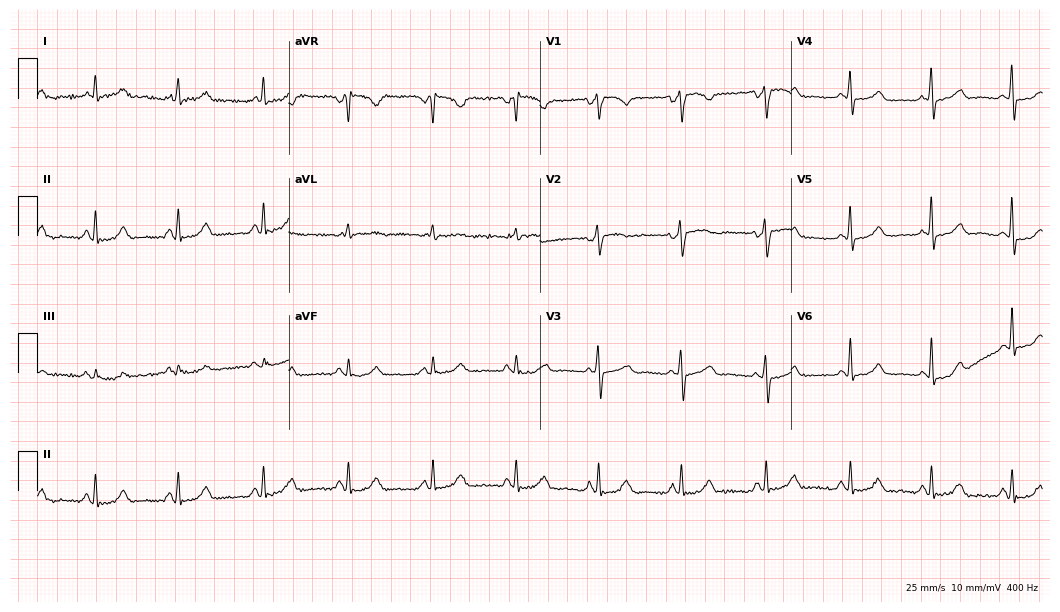
ECG — a 44-year-old female patient. Screened for six findings — first-degree AV block, right bundle branch block (RBBB), left bundle branch block (LBBB), sinus bradycardia, atrial fibrillation (AF), sinus tachycardia — none is recorded. Other findings, if any, are not listed.